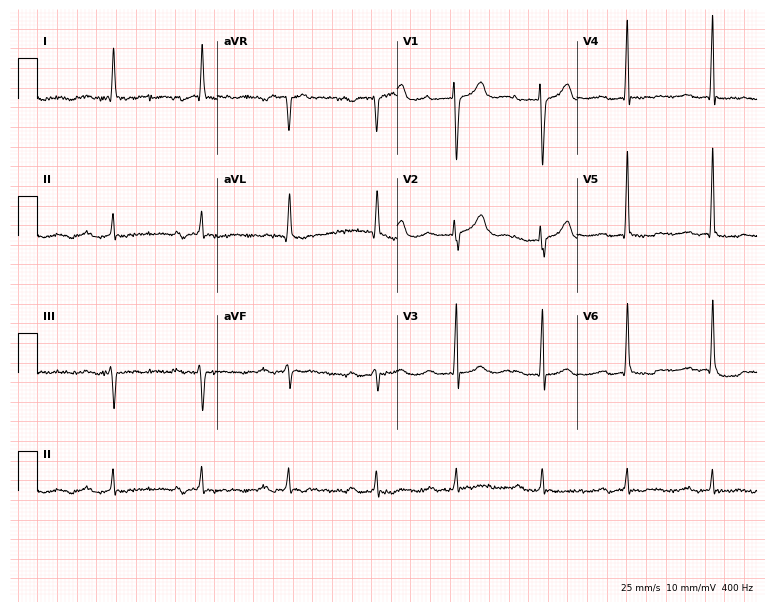
Resting 12-lead electrocardiogram. Patient: an 81-year-old female. None of these six findings is recorded: first-degree AV block, right bundle branch block, left bundle branch block, sinus bradycardia, atrial fibrillation, sinus tachycardia. Findings outside these six are not listed.